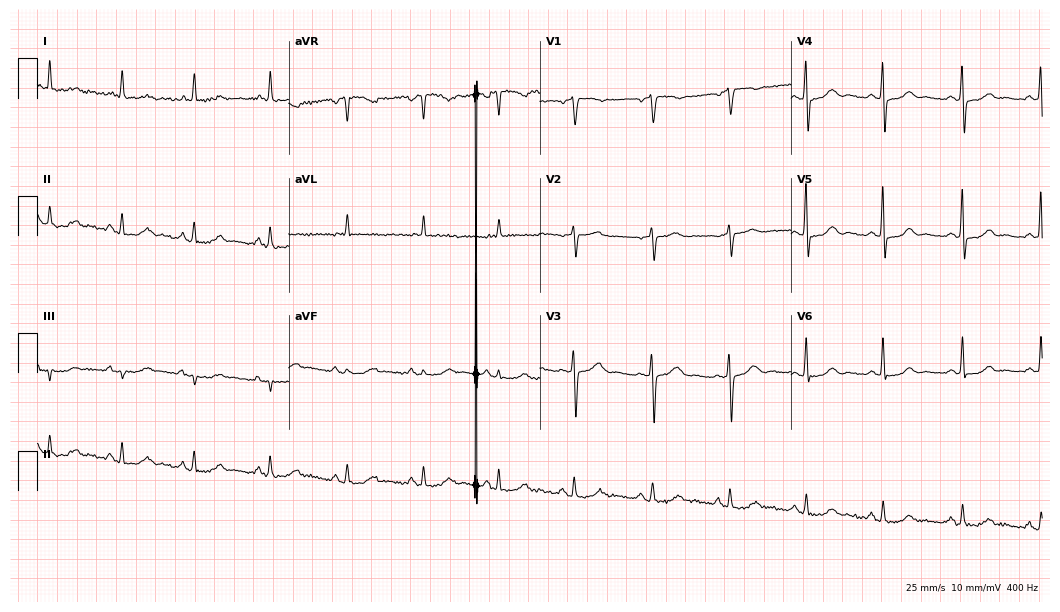
ECG — a woman, 59 years old. Labelled as a normal ECG.